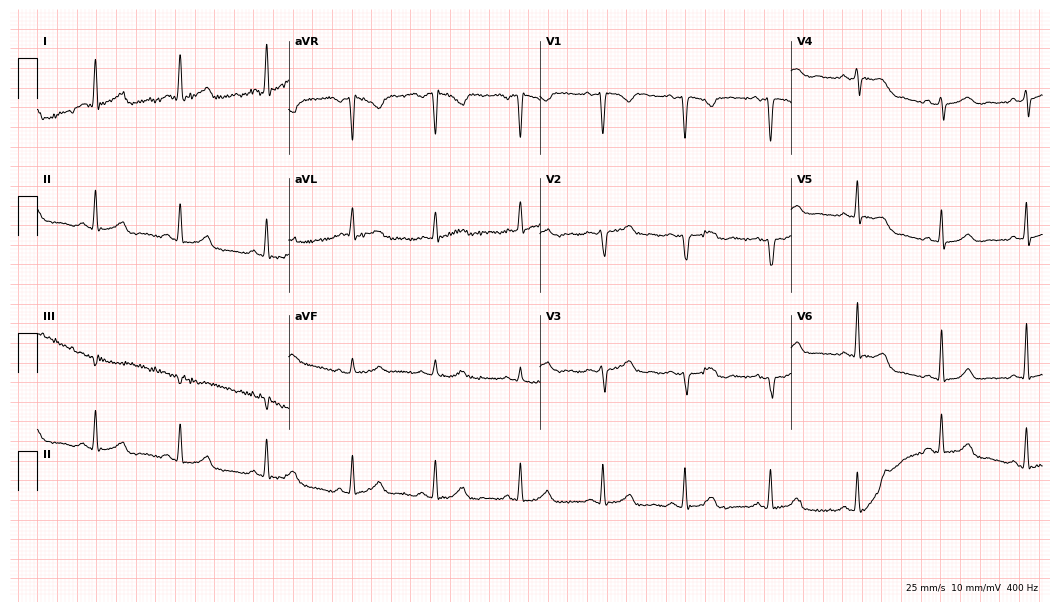
Electrocardiogram, a female, 28 years old. Overall reading on record: normal ECG.